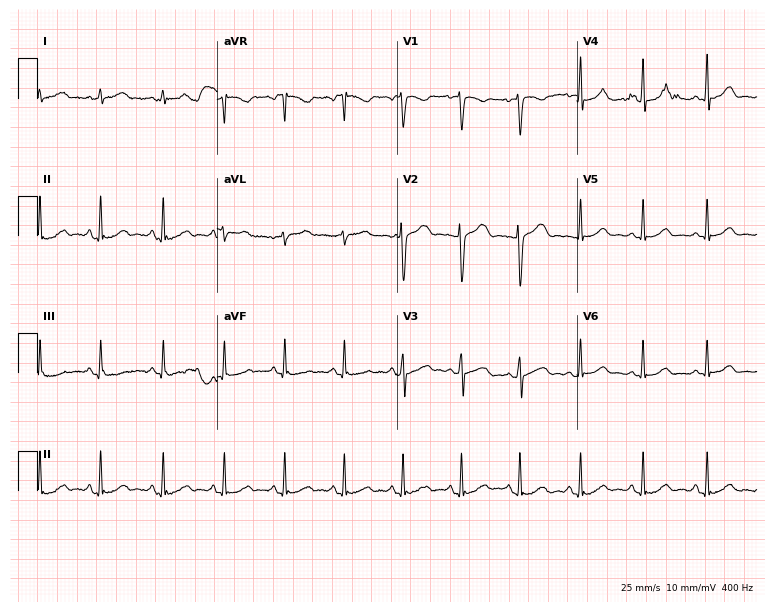
Electrocardiogram (7.3-second recording at 400 Hz), a 33-year-old woman. Overall reading on record: normal ECG.